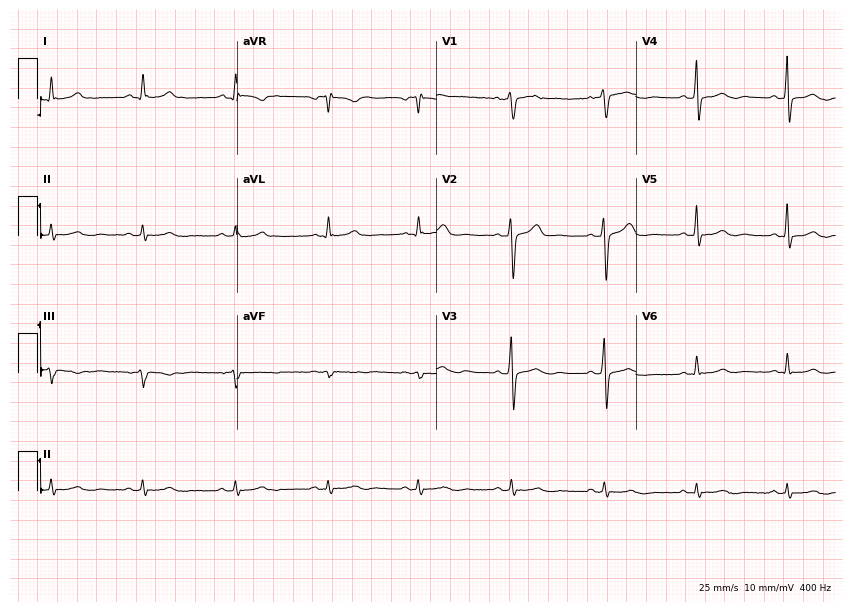
ECG — a 53-year-old female. Screened for six findings — first-degree AV block, right bundle branch block (RBBB), left bundle branch block (LBBB), sinus bradycardia, atrial fibrillation (AF), sinus tachycardia — none is recorded.